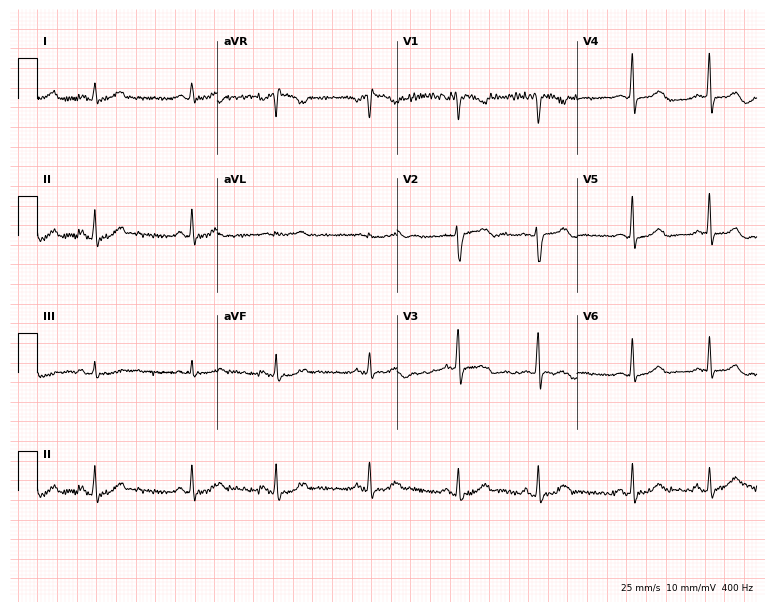
Electrocardiogram, a 27-year-old female. Of the six screened findings (first-degree AV block, right bundle branch block, left bundle branch block, sinus bradycardia, atrial fibrillation, sinus tachycardia), none is recorded. Findings outside these six are not listed.